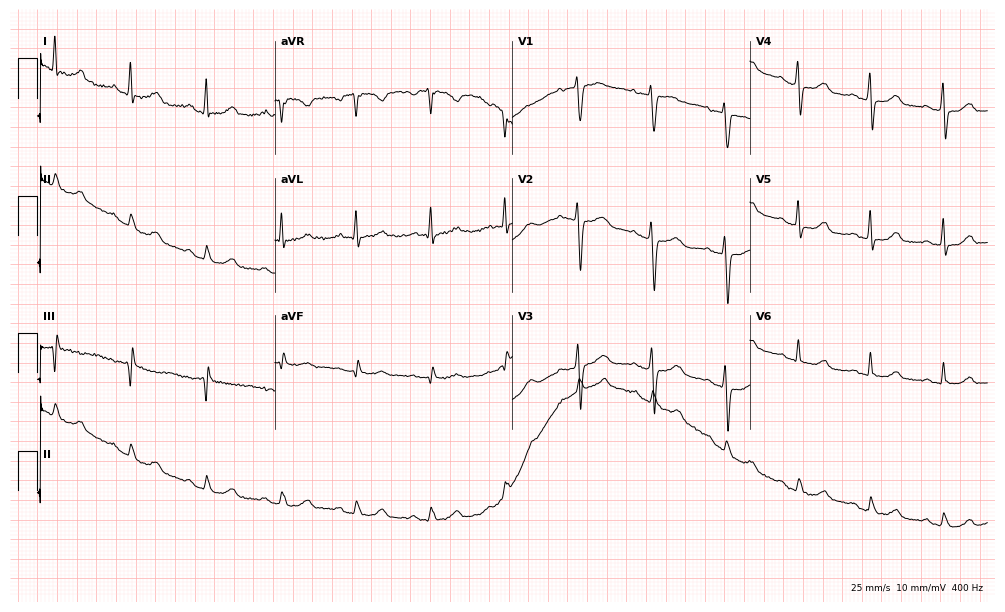
12-lead ECG from a 73-year-old woman (9.7-second recording at 400 Hz). Recorded interpretation: within normal limits.